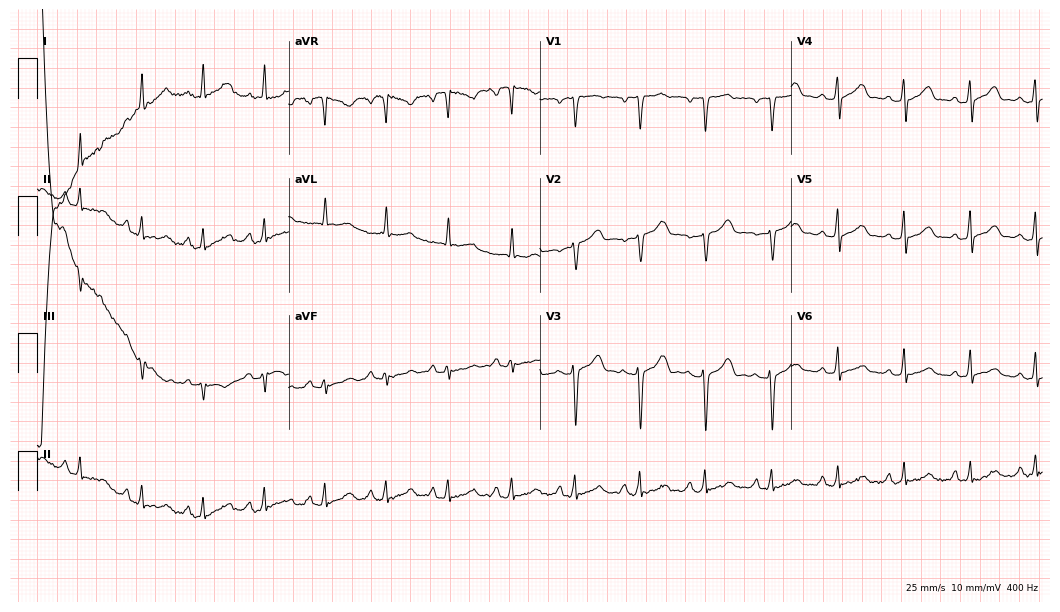
Resting 12-lead electrocardiogram (10.2-second recording at 400 Hz). Patient: a woman, 48 years old. Read as a normal ECG.